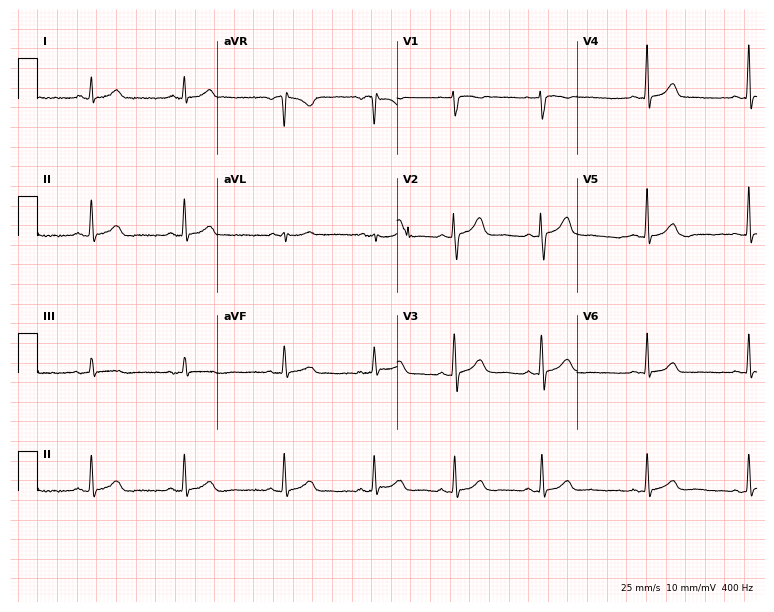
12-lead ECG (7.3-second recording at 400 Hz) from a 33-year-old woman. Labelled as a normal ECG.